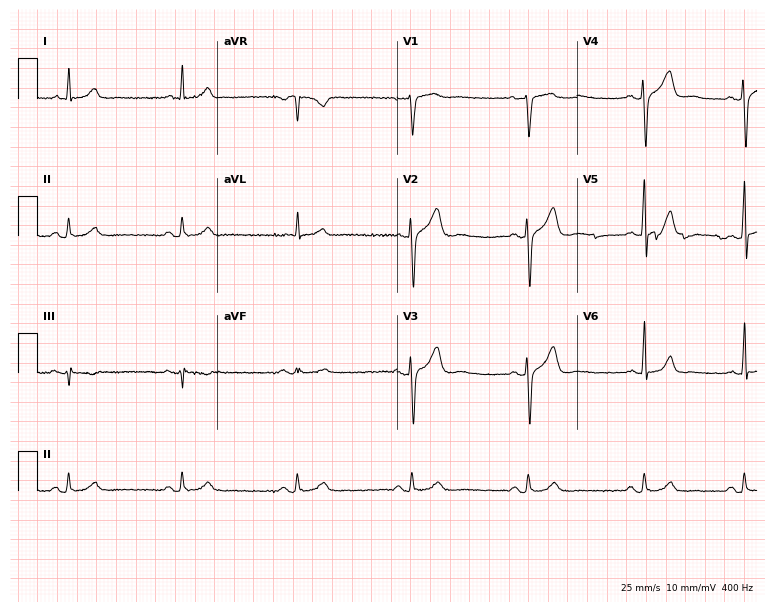
12-lead ECG from a 46-year-old male. Labelled as a normal ECG.